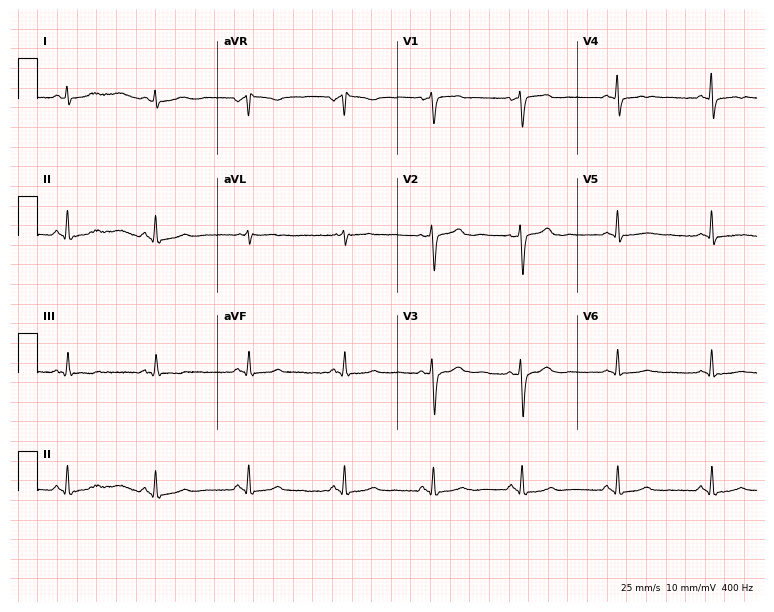
Electrocardiogram (7.3-second recording at 400 Hz), a female, 45 years old. Overall reading on record: normal ECG.